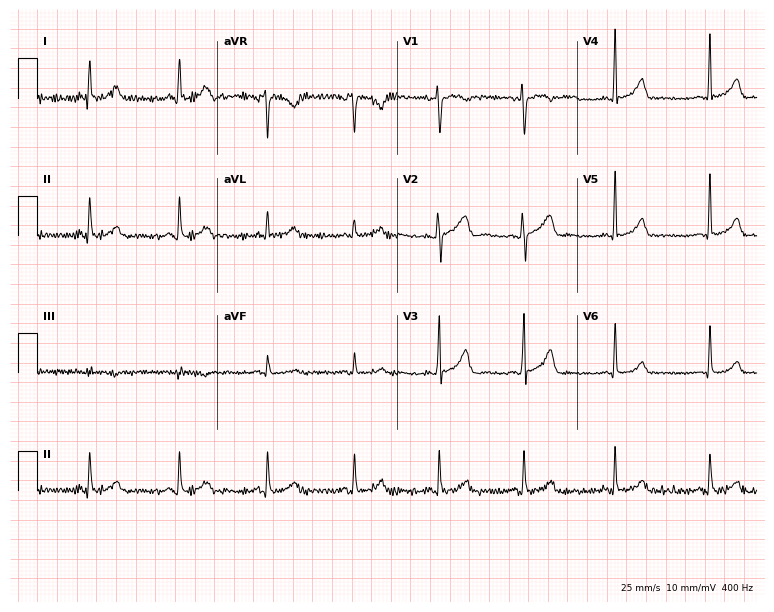
Electrocardiogram (7.3-second recording at 400 Hz), a 43-year-old female. Overall reading on record: normal ECG.